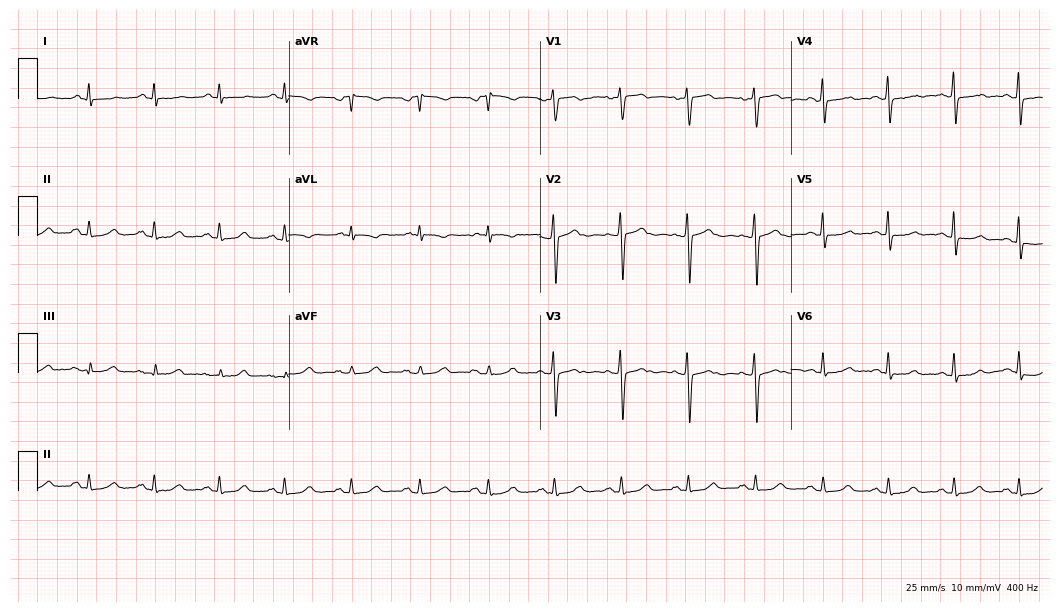
Standard 12-lead ECG recorded from a female patient, 56 years old (10.2-second recording at 400 Hz). None of these six findings is recorded: first-degree AV block, right bundle branch block, left bundle branch block, sinus bradycardia, atrial fibrillation, sinus tachycardia.